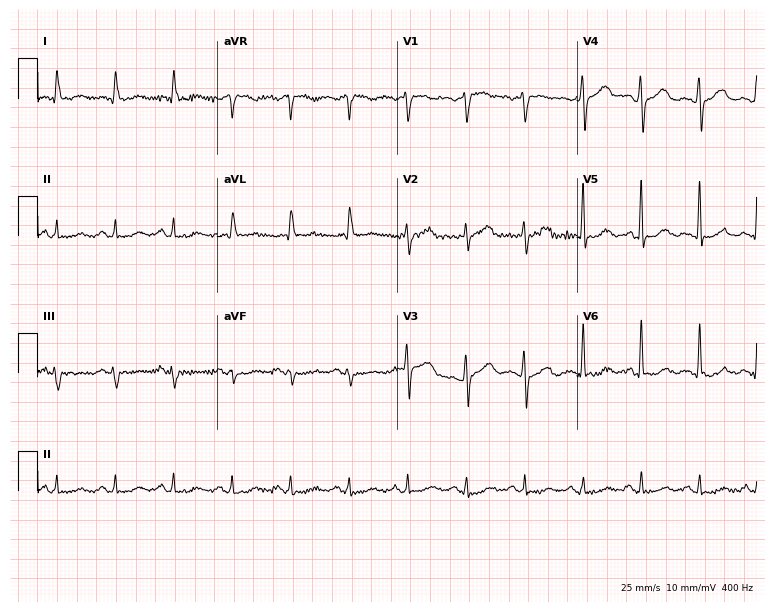
Resting 12-lead electrocardiogram (7.3-second recording at 400 Hz). Patient: a male, 76 years old. The tracing shows sinus tachycardia (a sinus rate of 100 beats per minute or more).